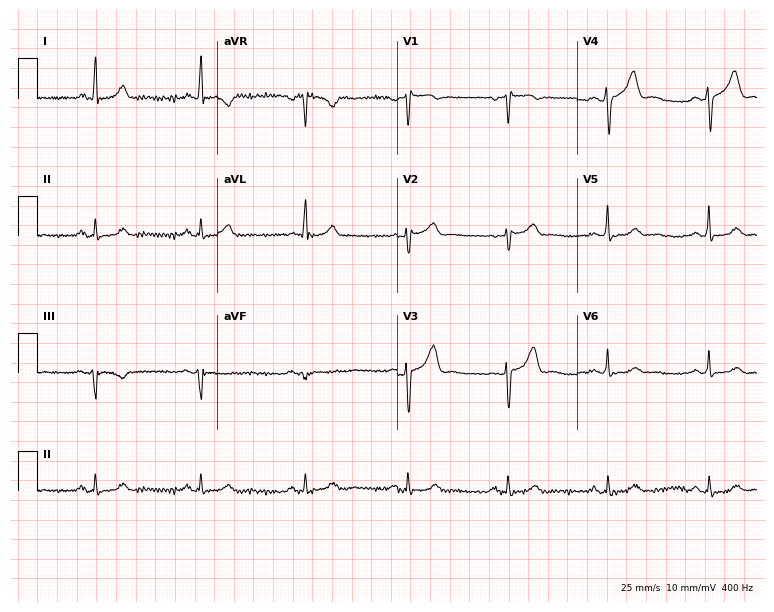
Standard 12-lead ECG recorded from a male patient, 57 years old. None of these six findings is recorded: first-degree AV block, right bundle branch block, left bundle branch block, sinus bradycardia, atrial fibrillation, sinus tachycardia. Findings outside these six are not listed.